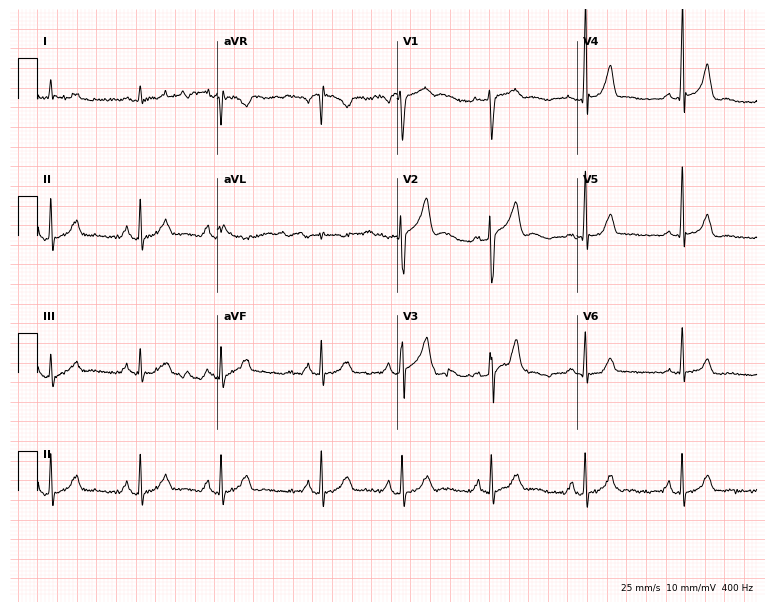
12-lead ECG from a 34-year-old male patient (7.3-second recording at 400 Hz). No first-degree AV block, right bundle branch block, left bundle branch block, sinus bradycardia, atrial fibrillation or sinus tachycardia recorded for this tracing. Findings outside these six are not listed.